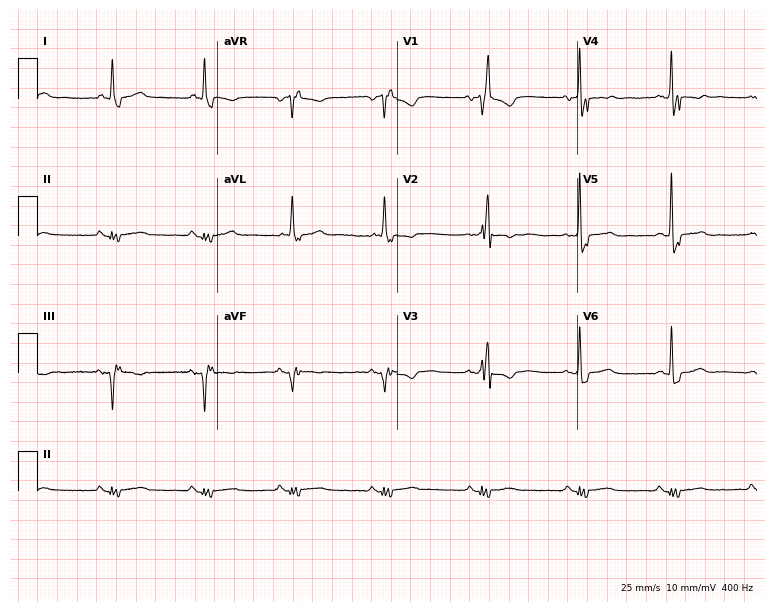
12-lead ECG from a 63-year-old man. Findings include right bundle branch block.